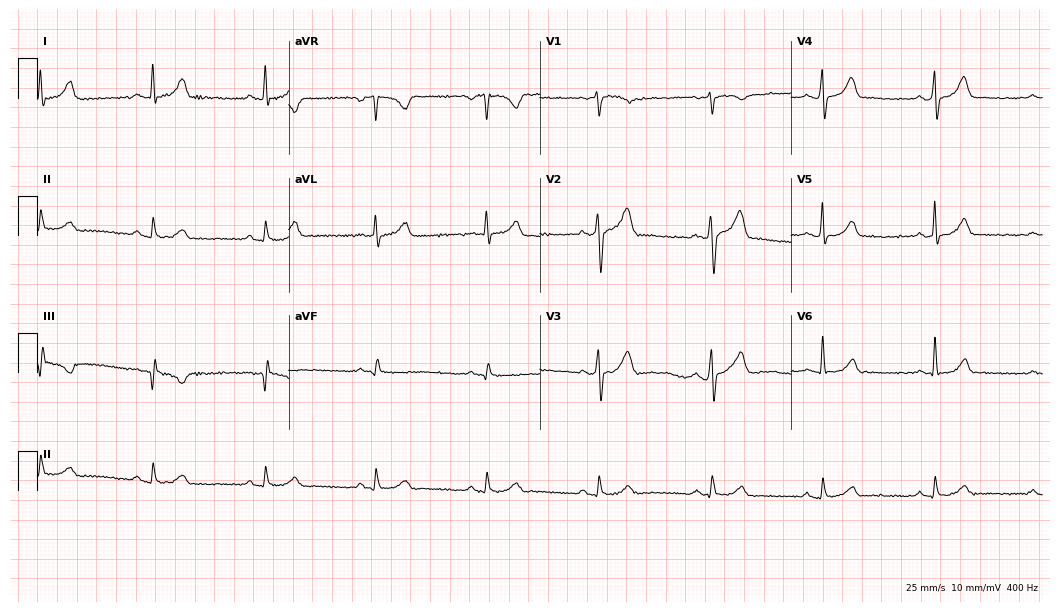
Electrocardiogram, a male patient, 49 years old. Overall reading on record: normal ECG.